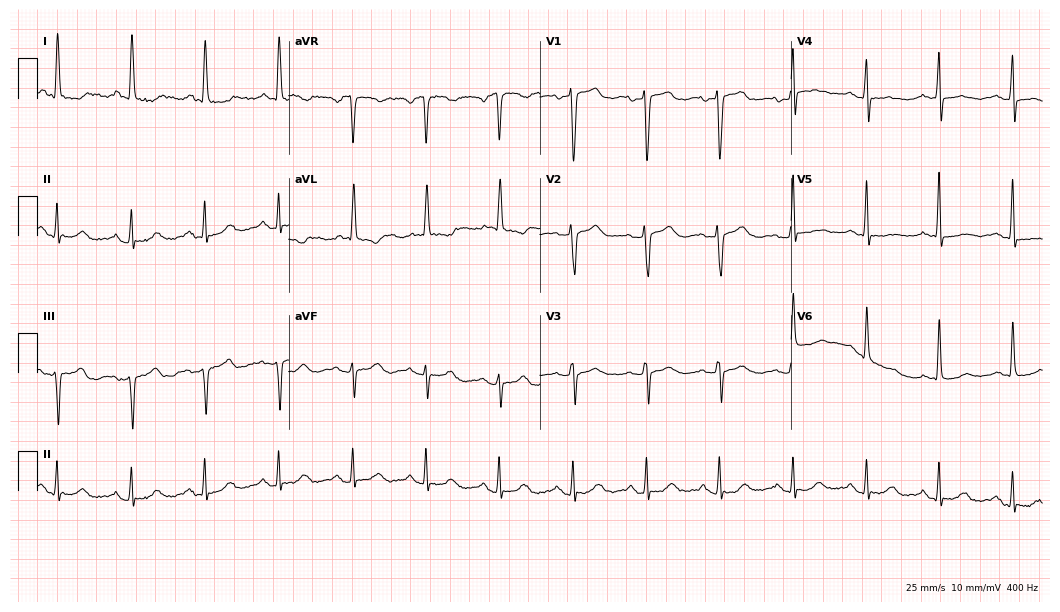
Standard 12-lead ECG recorded from a female patient, 74 years old (10.2-second recording at 400 Hz). None of these six findings is recorded: first-degree AV block, right bundle branch block (RBBB), left bundle branch block (LBBB), sinus bradycardia, atrial fibrillation (AF), sinus tachycardia.